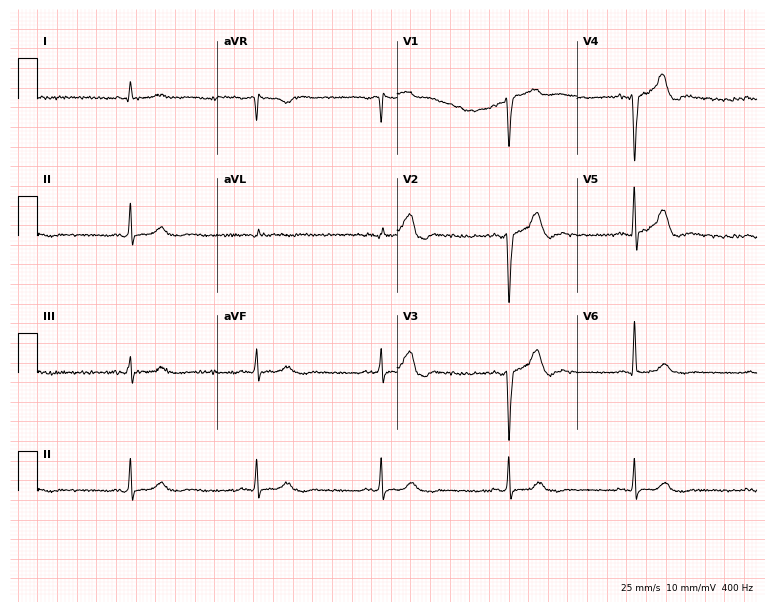
Electrocardiogram (7.3-second recording at 400 Hz), a man, 55 years old. Interpretation includes sinus bradycardia (a sinus rate of 50 beats per minute or less).